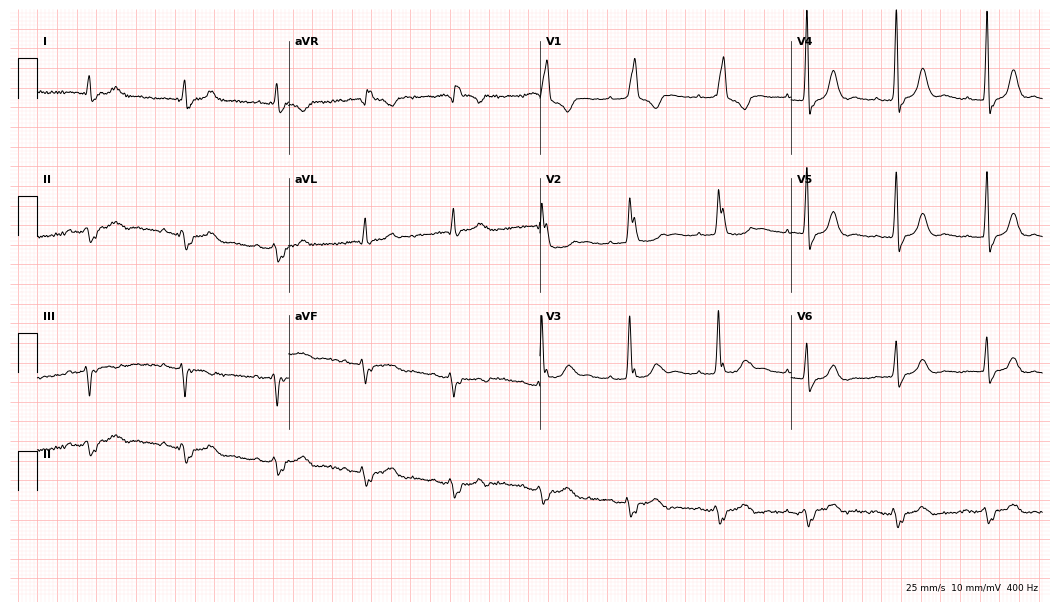
12-lead ECG from a male, 79 years old. Findings include right bundle branch block.